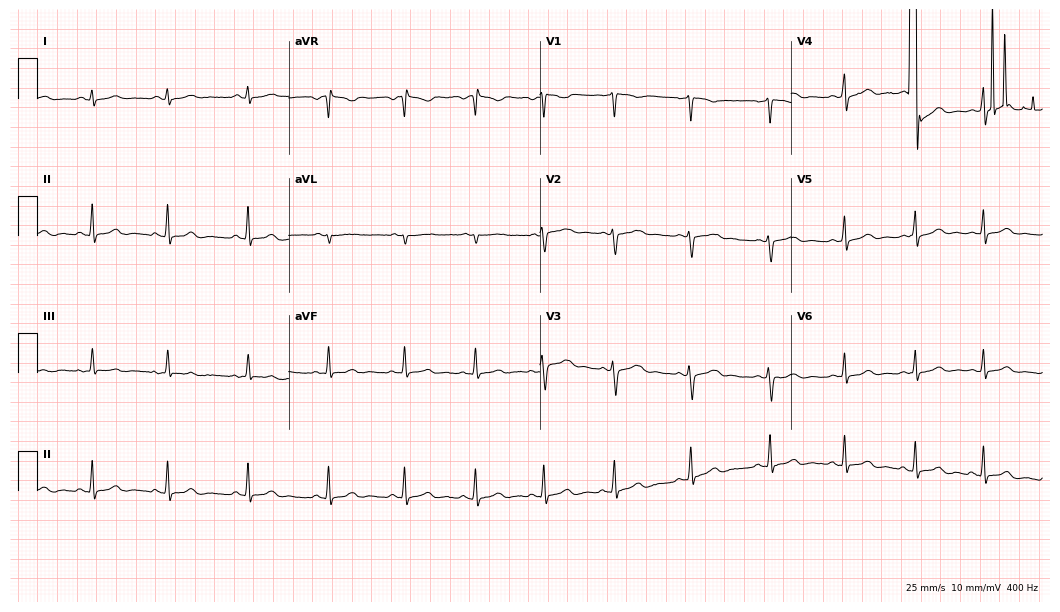
12-lead ECG from a female patient, 20 years old (10.2-second recording at 400 Hz). Recorded interpretation: within normal limits.